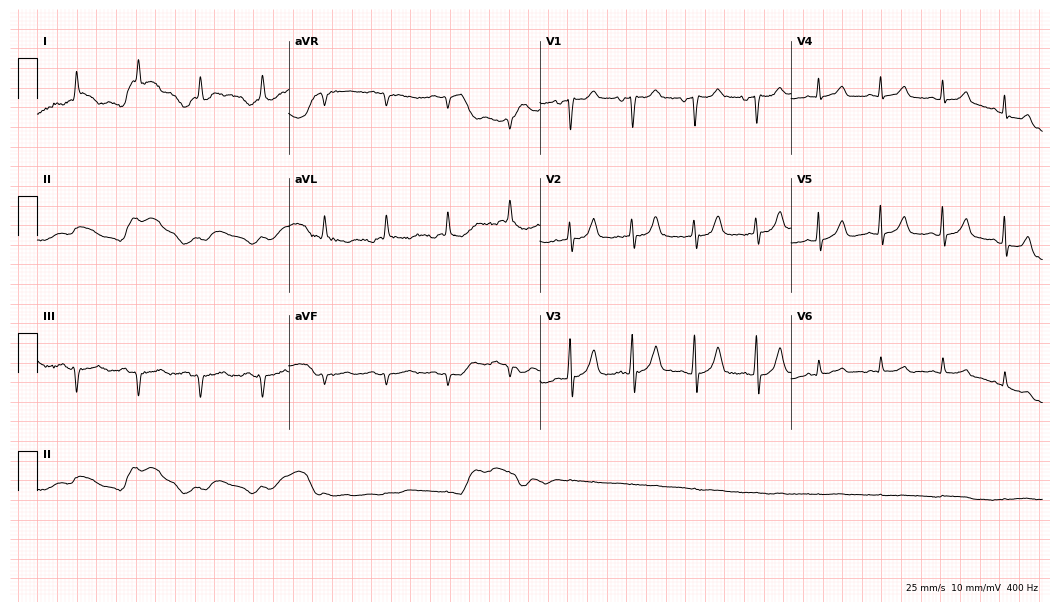
12-lead ECG from an 80-year-old man (10.2-second recording at 400 Hz). No first-degree AV block, right bundle branch block, left bundle branch block, sinus bradycardia, atrial fibrillation or sinus tachycardia recorded for this tracing.